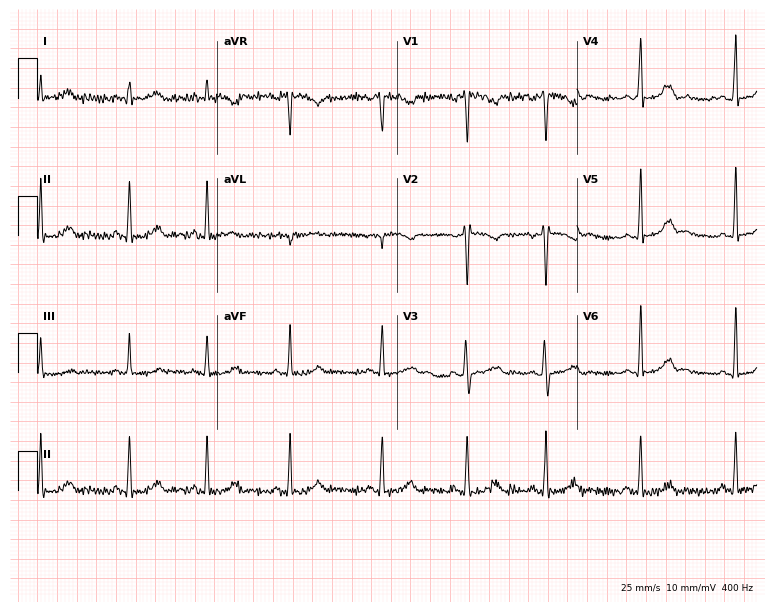
Electrocardiogram (7.3-second recording at 400 Hz), a 30-year-old woman. Of the six screened findings (first-degree AV block, right bundle branch block, left bundle branch block, sinus bradycardia, atrial fibrillation, sinus tachycardia), none is recorded.